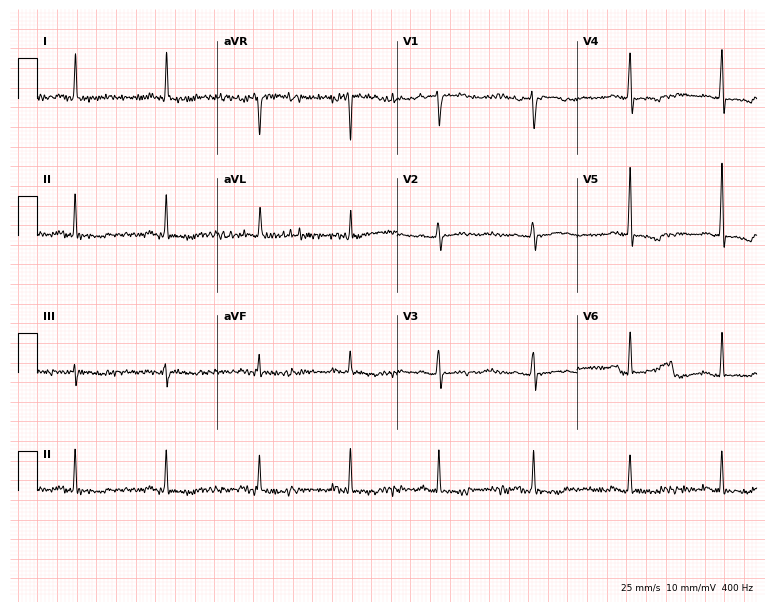
12-lead ECG from an 81-year-old female patient. No first-degree AV block, right bundle branch block (RBBB), left bundle branch block (LBBB), sinus bradycardia, atrial fibrillation (AF) or sinus tachycardia recorded for this tracing.